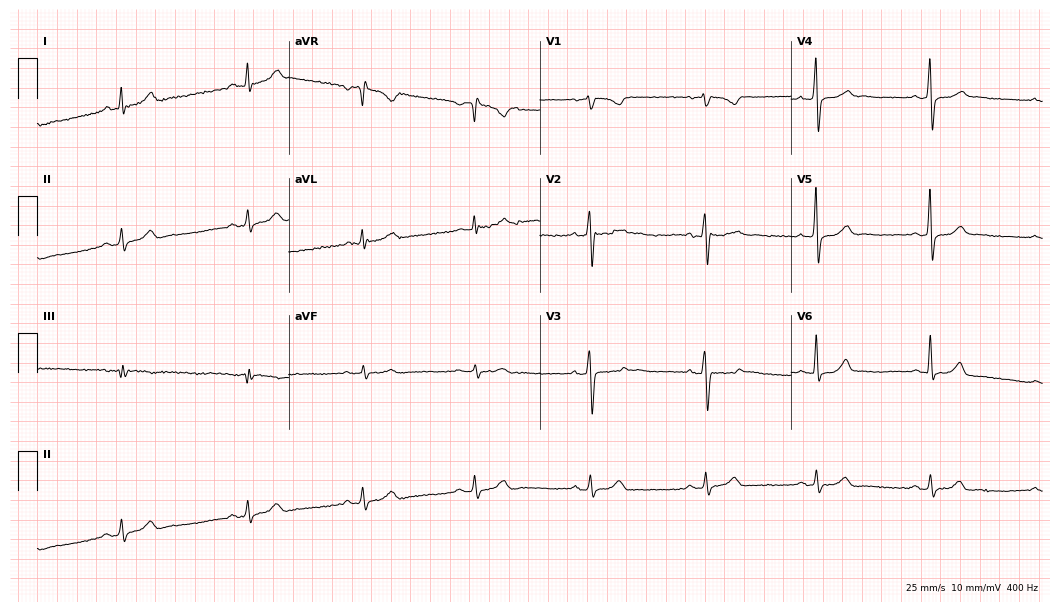
Resting 12-lead electrocardiogram (10.2-second recording at 400 Hz). Patient: a male, 39 years old. Read as a normal ECG.